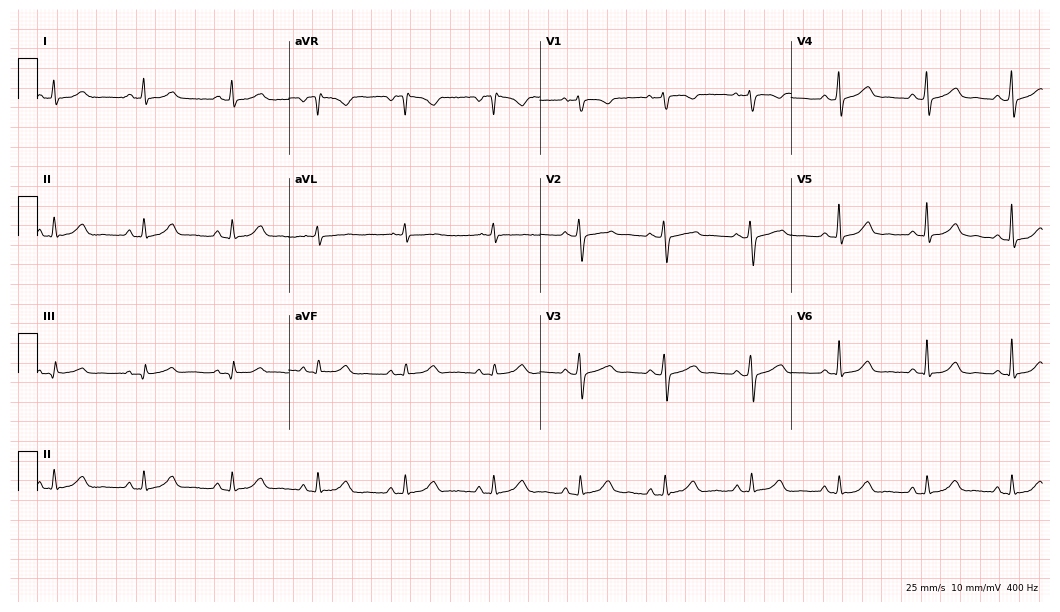
12-lead ECG from a 45-year-old woman (10.2-second recording at 400 Hz). Recorded interpretation: within normal limits.